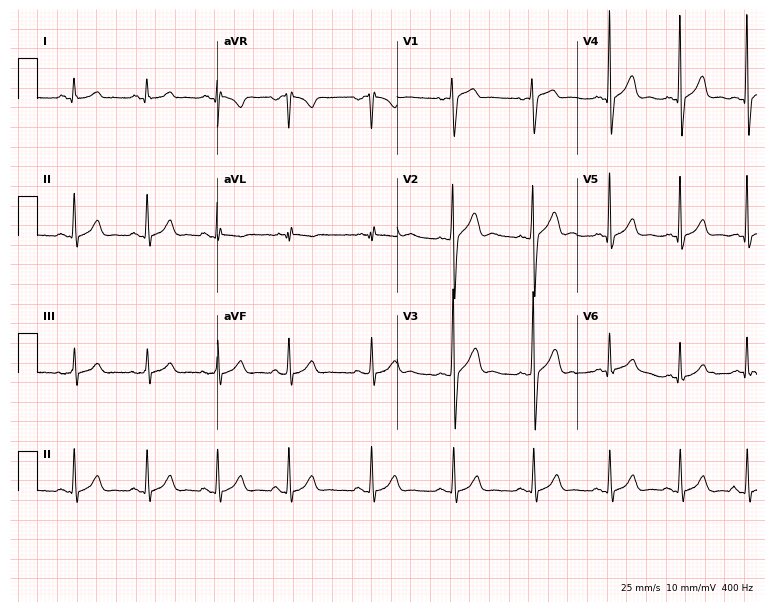
Electrocardiogram, an 18-year-old male. Of the six screened findings (first-degree AV block, right bundle branch block (RBBB), left bundle branch block (LBBB), sinus bradycardia, atrial fibrillation (AF), sinus tachycardia), none is recorded.